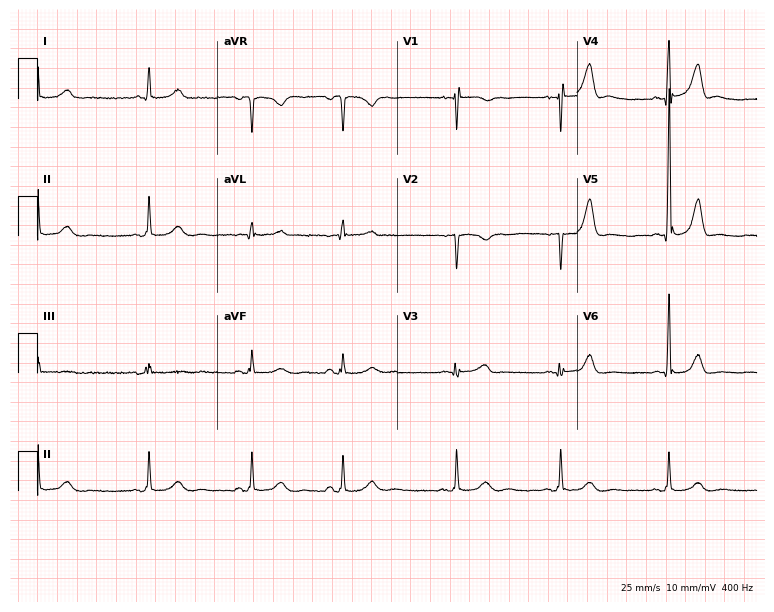
12-lead ECG from a 51-year-old male (7.3-second recording at 400 Hz). Recorded interpretation: within normal limits.